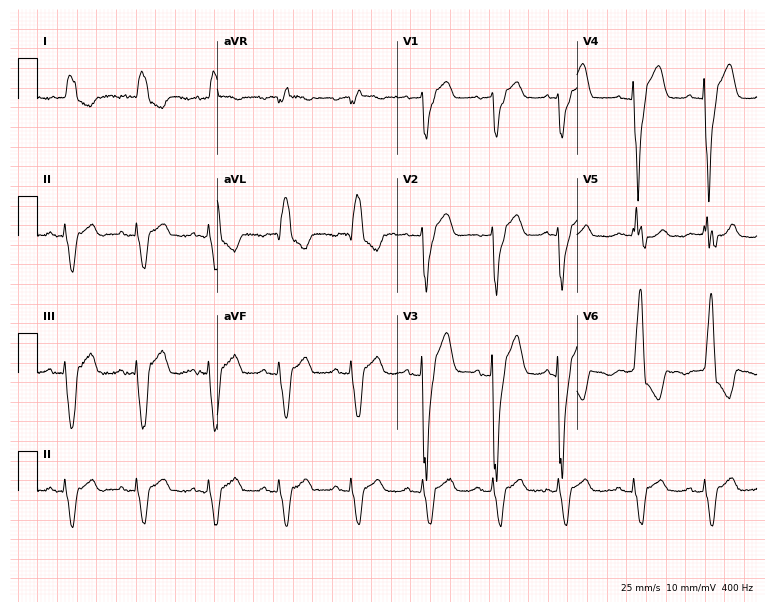
ECG (7.3-second recording at 400 Hz) — a female patient, 80 years old. Findings include left bundle branch block.